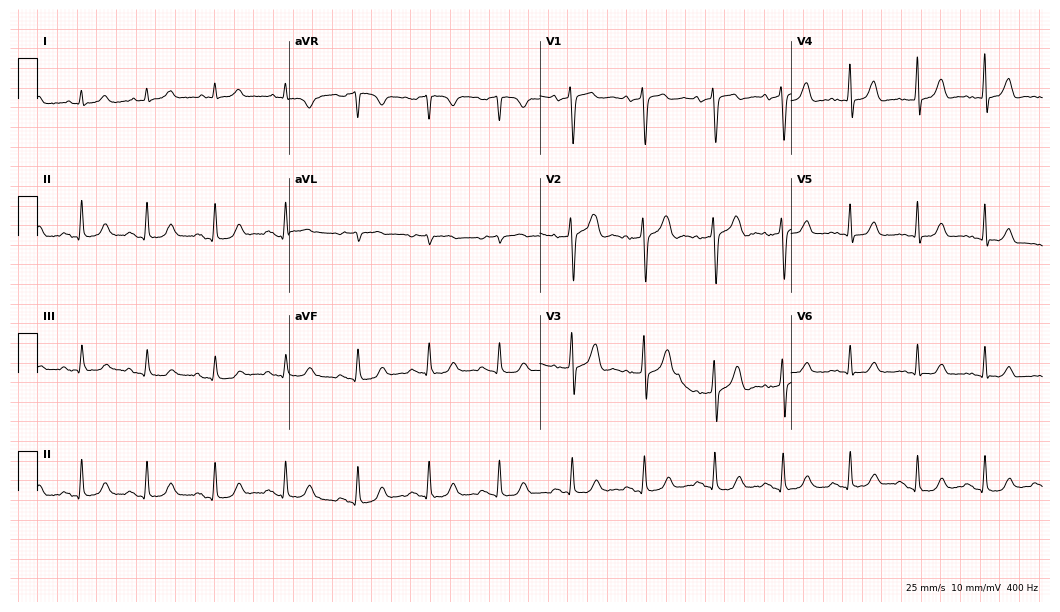
Standard 12-lead ECG recorded from a 54-year-old male. Read as a normal ECG.